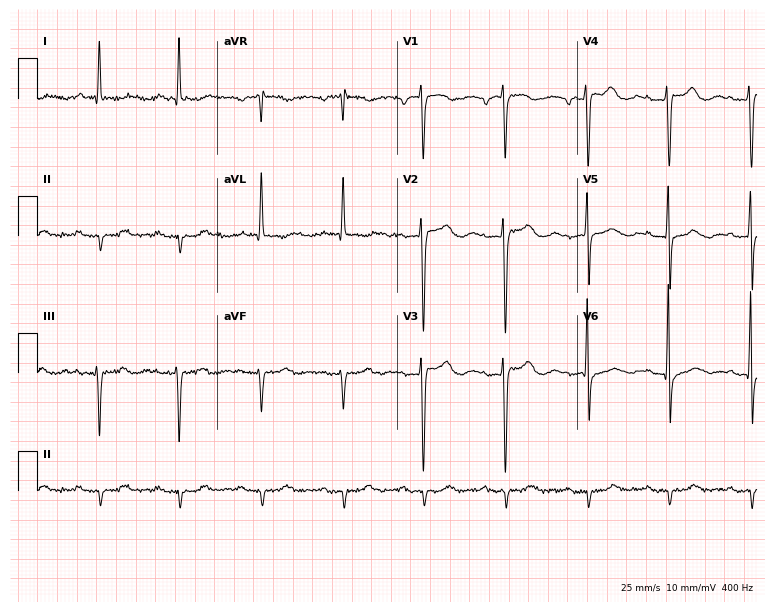
12-lead ECG from a male, 85 years old (7.3-second recording at 400 Hz). No first-degree AV block, right bundle branch block (RBBB), left bundle branch block (LBBB), sinus bradycardia, atrial fibrillation (AF) or sinus tachycardia recorded for this tracing.